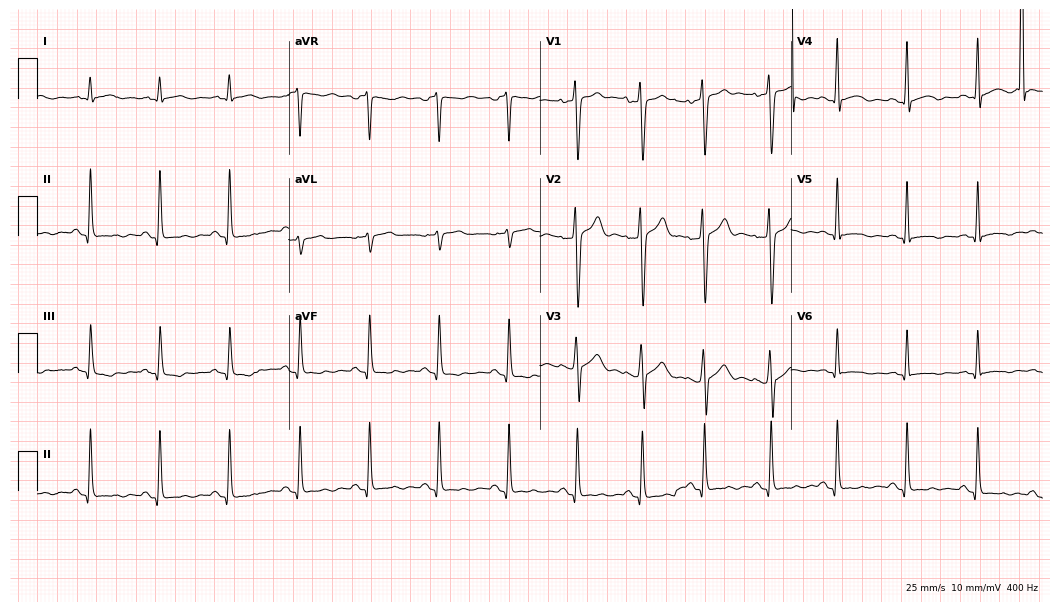
Electrocardiogram (10.2-second recording at 400 Hz), a 26-year-old male patient. Overall reading on record: normal ECG.